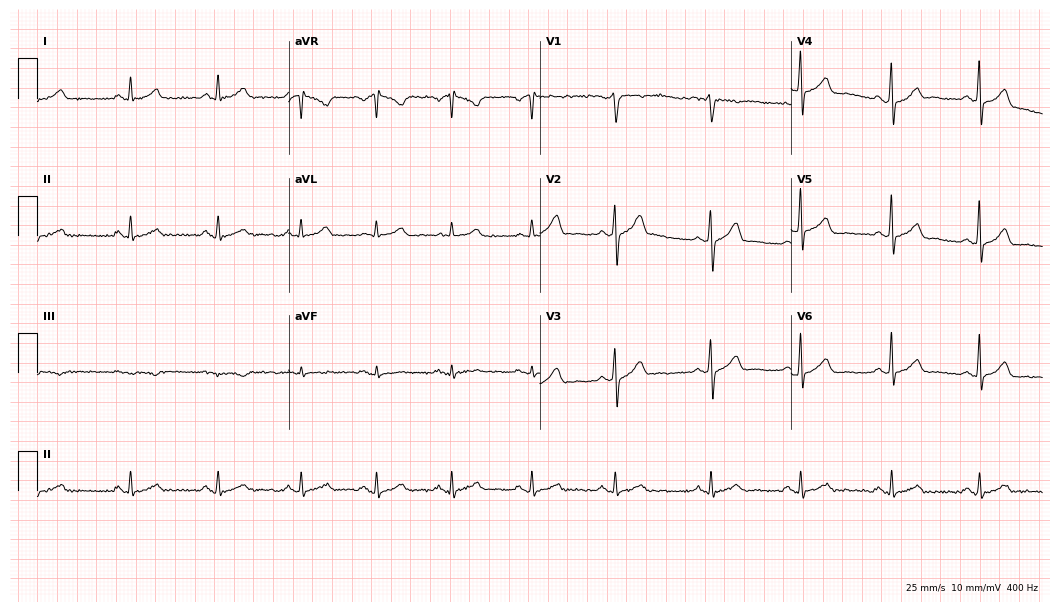
12-lead ECG (10.2-second recording at 400 Hz) from a male, 34 years old. Labelled as a normal ECG.